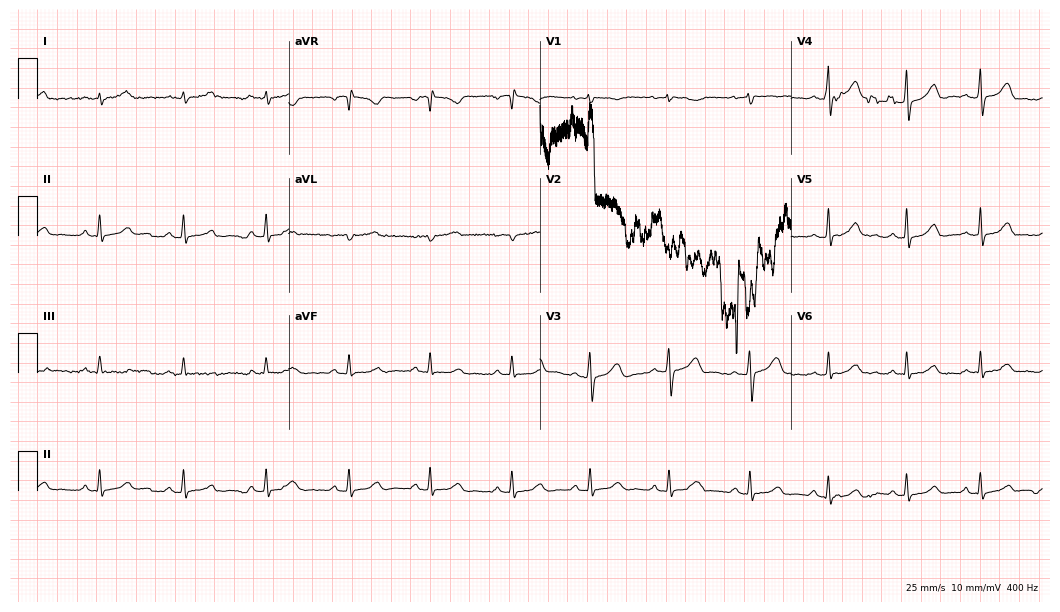
12-lead ECG from a woman, 39 years old. Screened for six findings — first-degree AV block, right bundle branch block (RBBB), left bundle branch block (LBBB), sinus bradycardia, atrial fibrillation (AF), sinus tachycardia — none is recorded.